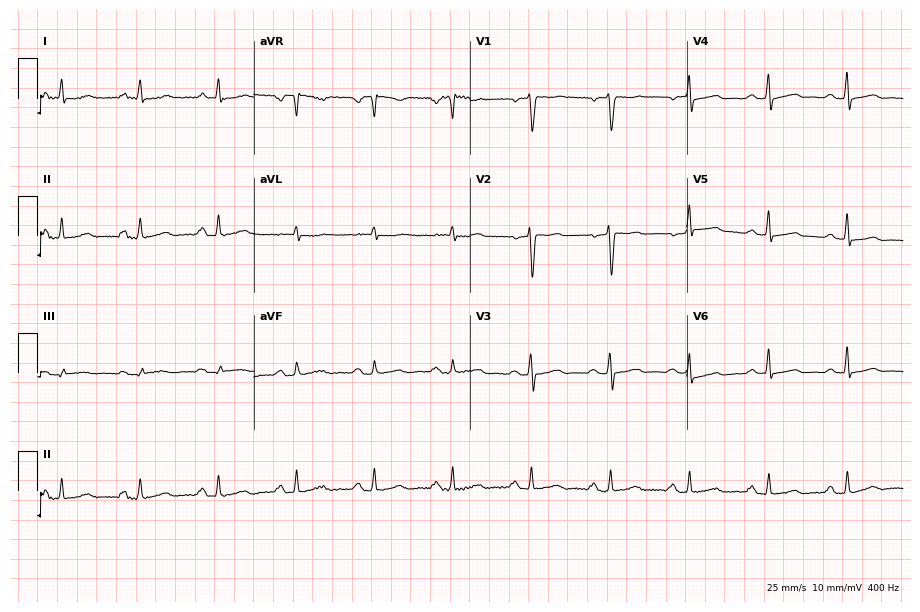
12-lead ECG (8.8-second recording at 400 Hz) from a female, 71 years old. Labelled as a normal ECG.